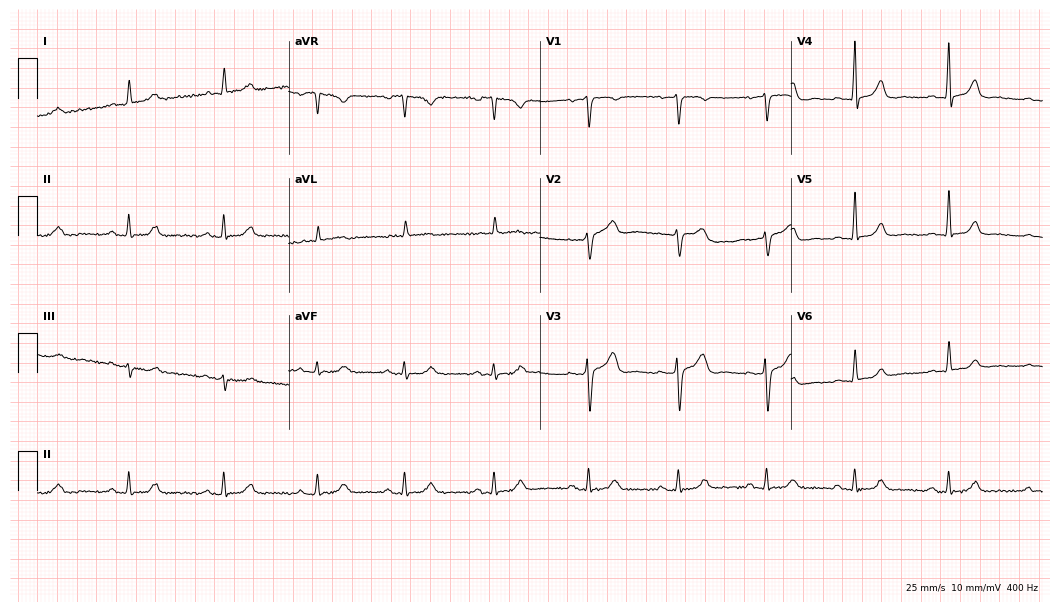
12-lead ECG from a 42-year-old female patient. Recorded interpretation: within normal limits.